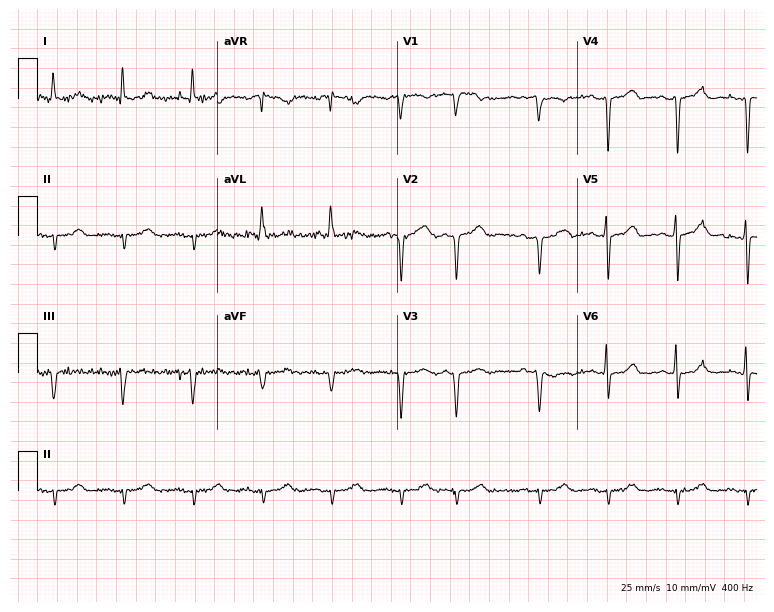
12-lead ECG from a male patient, 86 years old. No first-degree AV block, right bundle branch block, left bundle branch block, sinus bradycardia, atrial fibrillation or sinus tachycardia recorded for this tracing. Findings outside these six are not listed.